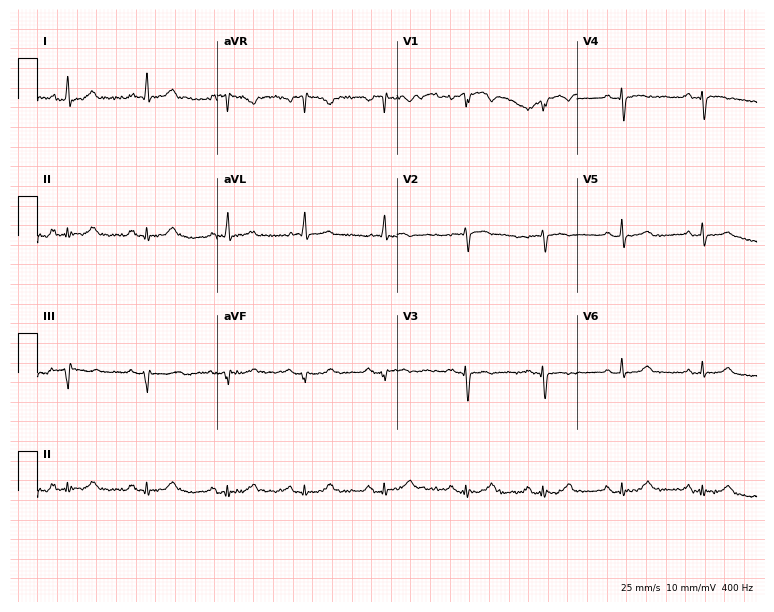
ECG (7.3-second recording at 400 Hz) — a 66-year-old man. Labelled as a normal ECG.